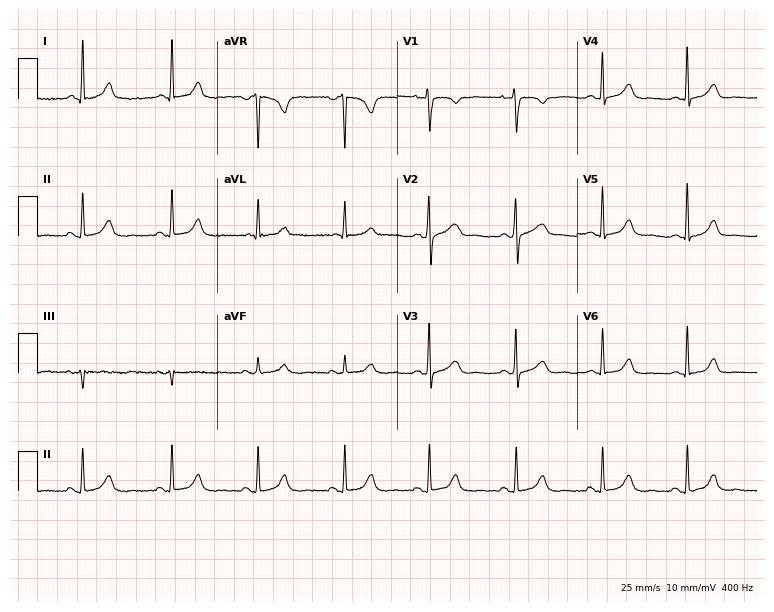
12-lead ECG (7.3-second recording at 400 Hz) from a 34-year-old woman. Screened for six findings — first-degree AV block, right bundle branch block (RBBB), left bundle branch block (LBBB), sinus bradycardia, atrial fibrillation (AF), sinus tachycardia — none is recorded. Only these six findings were labelled.